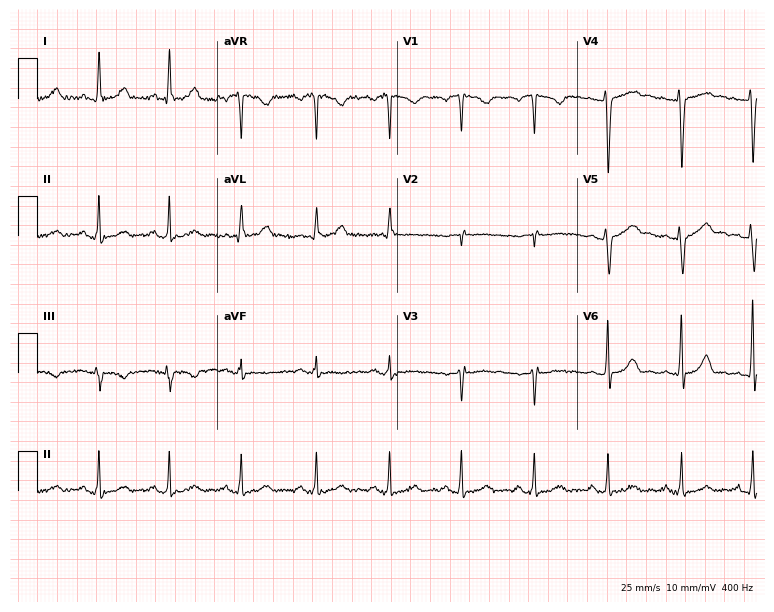
12-lead ECG from a 28-year-old female patient. Screened for six findings — first-degree AV block, right bundle branch block, left bundle branch block, sinus bradycardia, atrial fibrillation, sinus tachycardia — none is recorded.